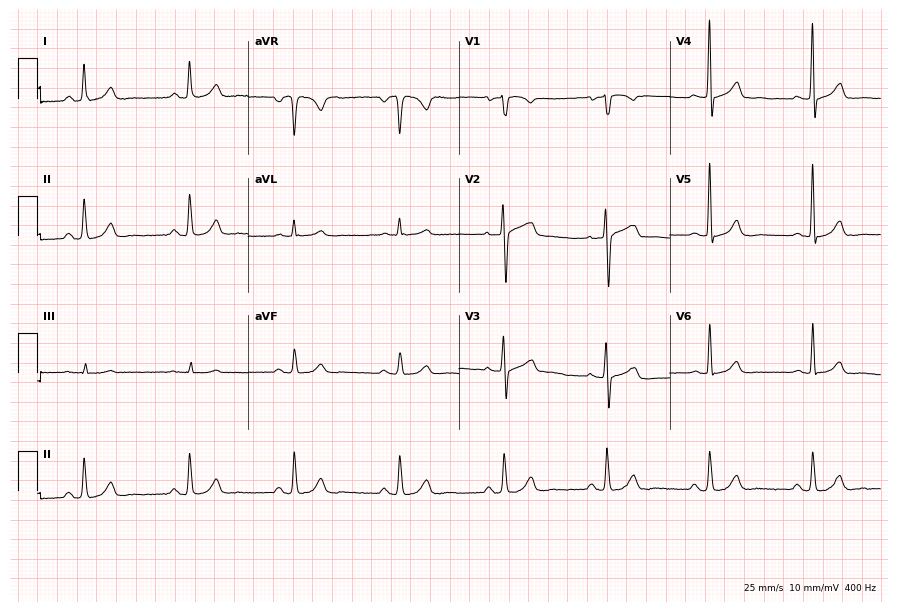
12-lead ECG (8.6-second recording at 400 Hz) from a male, 75 years old. Labelled as a normal ECG.